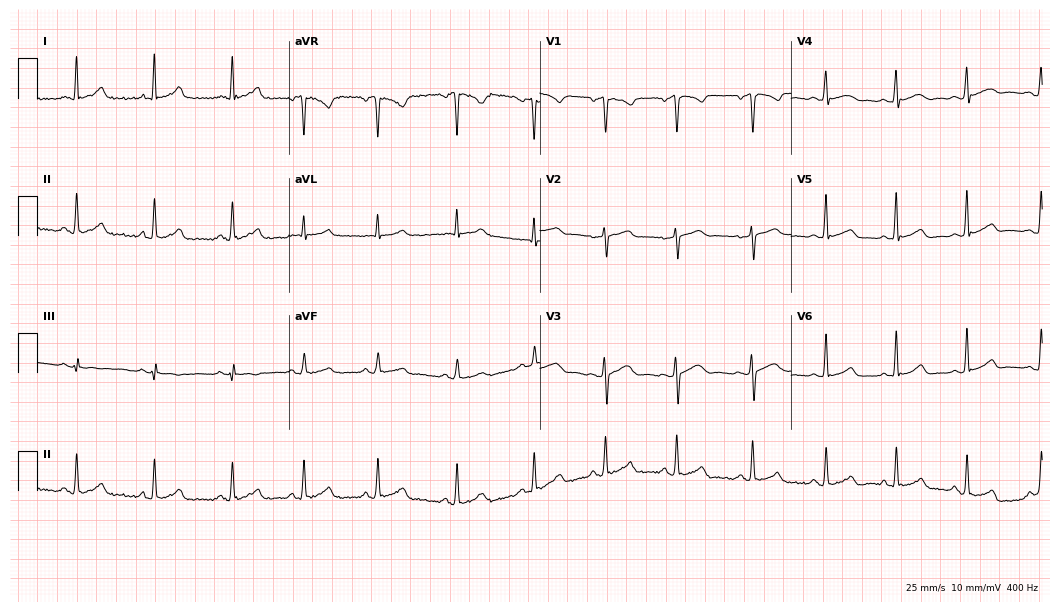
Resting 12-lead electrocardiogram. Patient: a 27-year-old female. Read as a normal ECG.